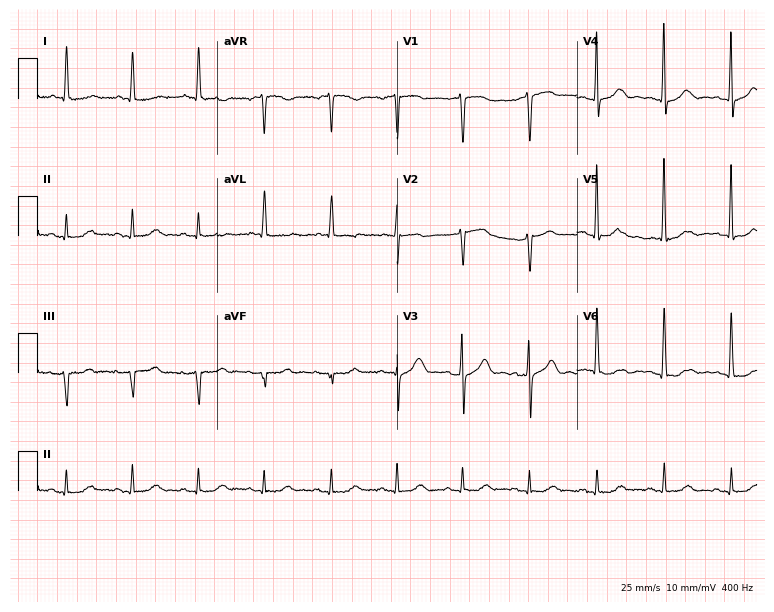
Standard 12-lead ECG recorded from a woman, 82 years old (7.3-second recording at 400 Hz). None of these six findings is recorded: first-degree AV block, right bundle branch block, left bundle branch block, sinus bradycardia, atrial fibrillation, sinus tachycardia. Findings outside these six are not listed.